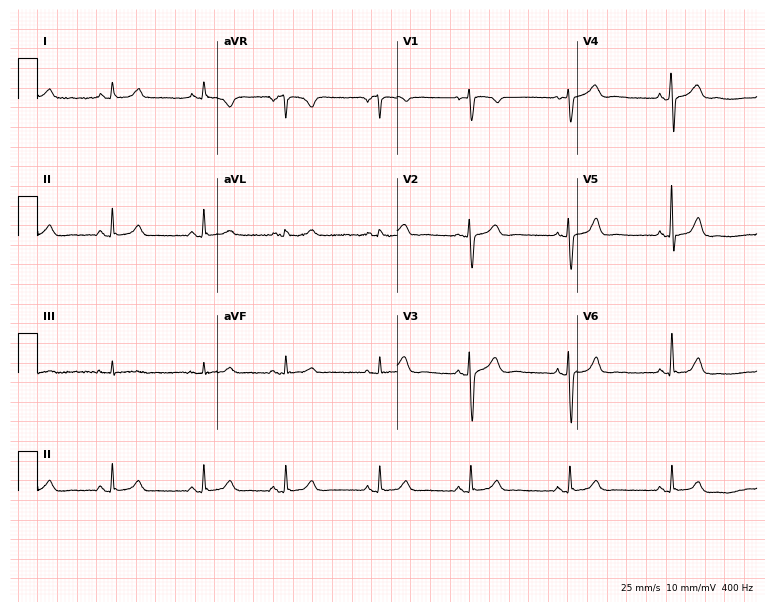
Standard 12-lead ECG recorded from a female patient, 35 years old (7.3-second recording at 400 Hz). Read as a normal ECG.